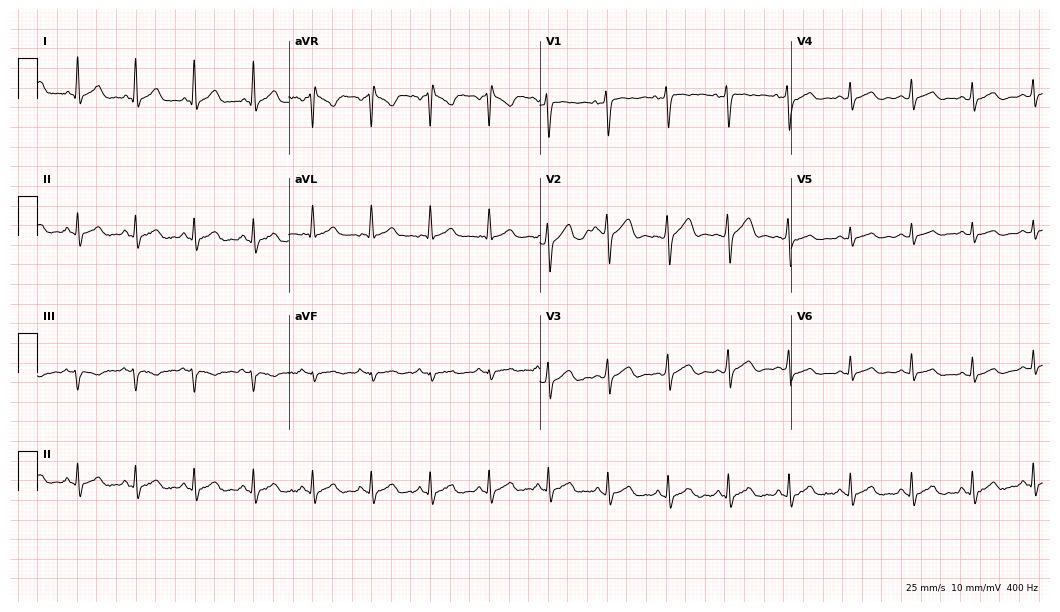
12-lead ECG (10.2-second recording at 400 Hz) from a male patient, 26 years old. Labelled as a normal ECG.